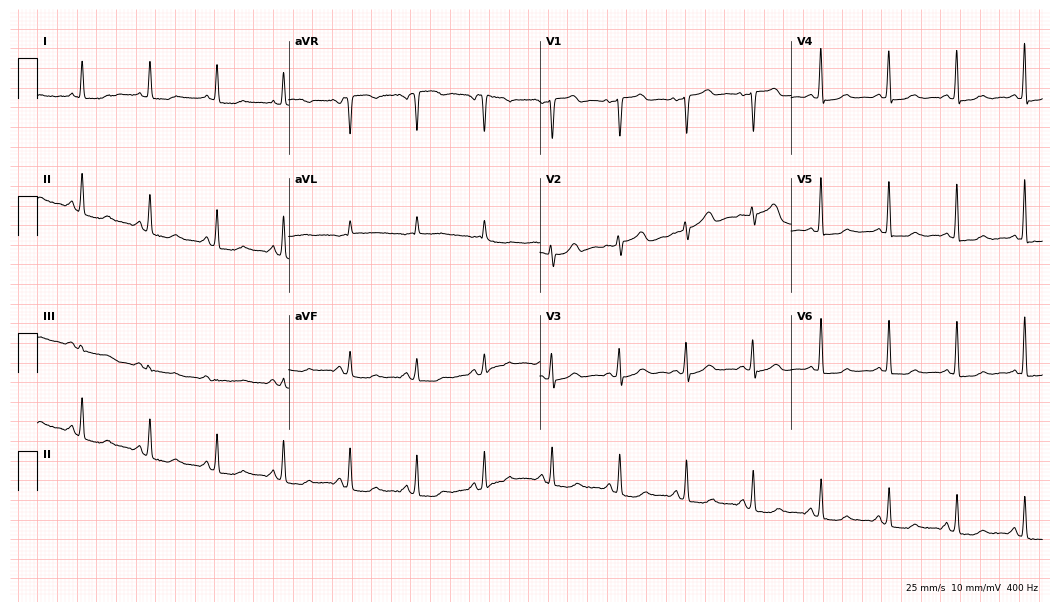
Standard 12-lead ECG recorded from a 72-year-old female (10.2-second recording at 400 Hz). None of these six findings is recorded: first-degree AV block, right bundle branch block (RBBB), left bundle branch block (LBBB), sinus bradycardia, atrial fibrillation (AF), sinus tachycardia. Other findings, if any, are not listed.